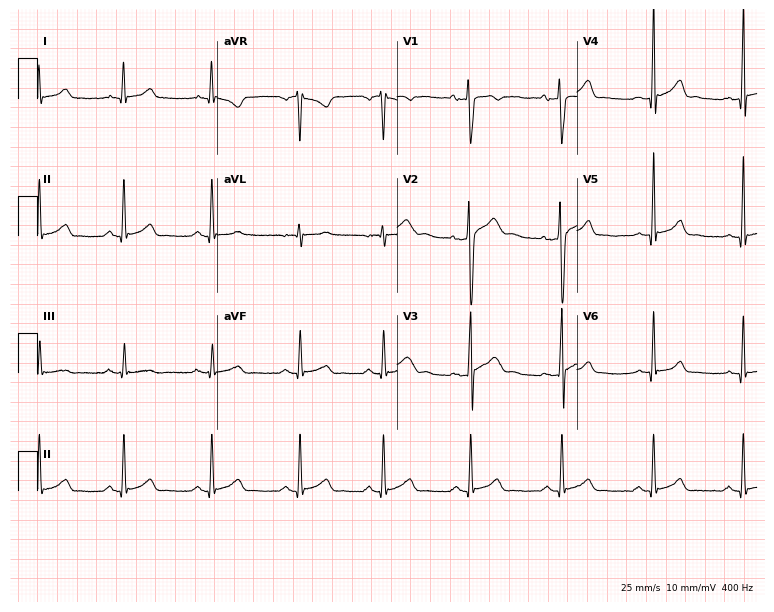
ECG — a 24-year-old male patient. Labelled as a normal ECG.